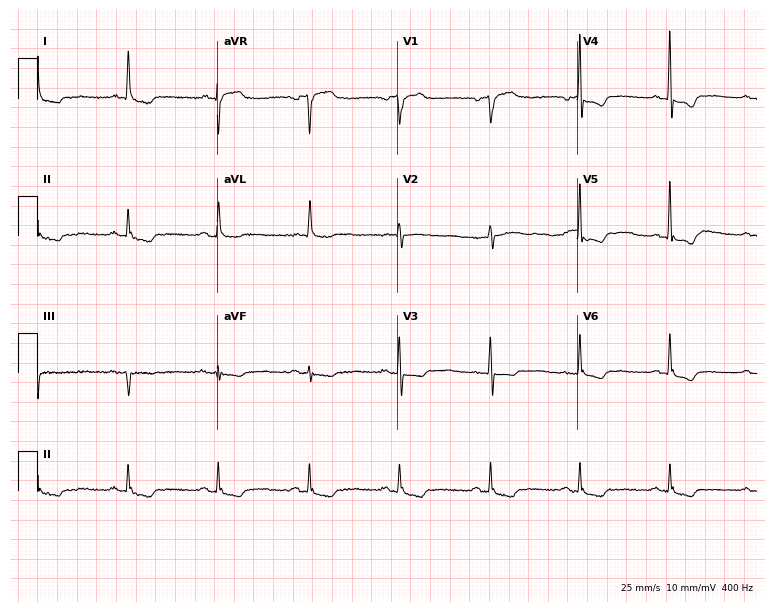
Resting 12-lead electrocardiogram (7.3-second recording at 400 Hz). Patient: an 80-year-old woman. None of these six findings is recorded: first-degree AV block, right bundle branch block, left bundle branch block, sinus bradycardia, atrial fibrillation, sinus tachycardia.